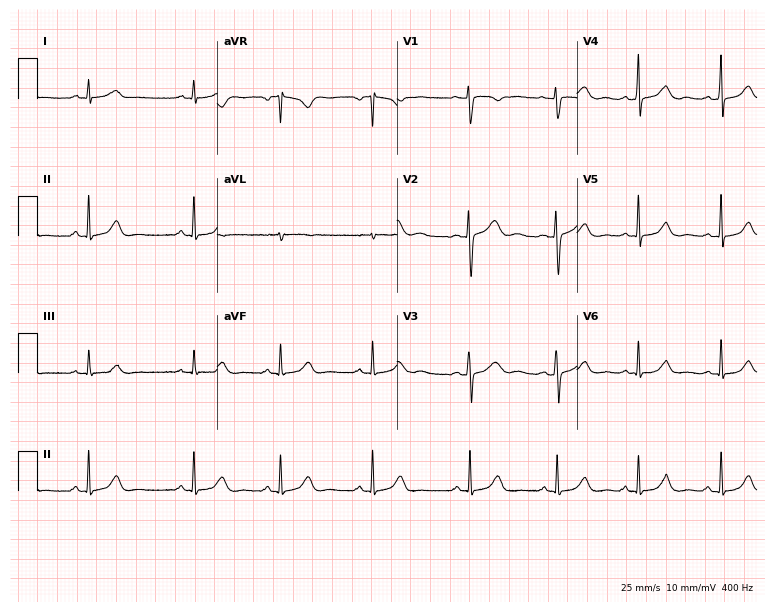
12-lead ECG from a female patient, 35 years old (7.3-second recording at 400 Hz). No first-degree AV block, right bundle branch block (RBBB), left bundle branch block (LBBB), sinus bradycardia, atrial fibrillation (AF) or sinus tachycardia recorded for this tracing. Only these six findings were labelled.